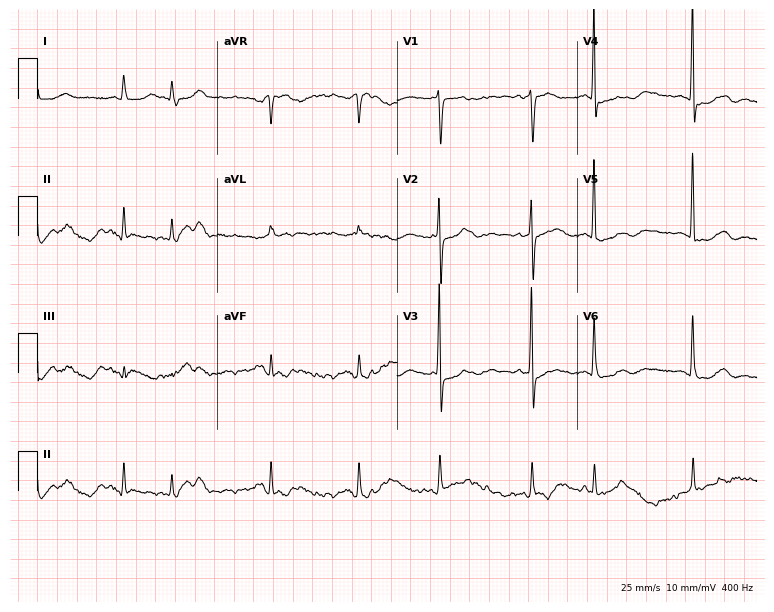
12-lead ECG (7.3-second recording at 400 Hz) from a female, 82 years old. Screened for six findings — first-degree AV block, right bundle branch block, left bundle branch block, sinus bradycardia, atrial fibrillation, sinus tachycardia — none is recorded. Findings outside these six are not listed.